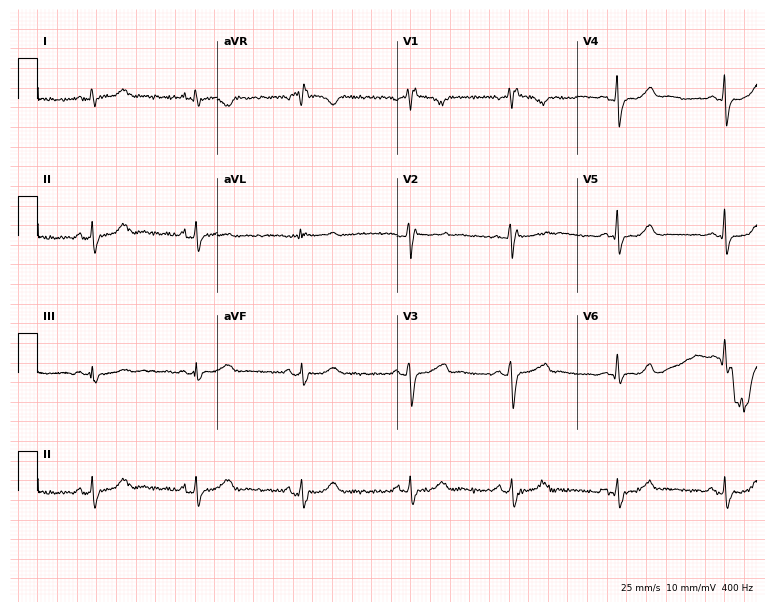
Standard 12-lead ECG recorded from a female patient, 42 years old. None of these six findings is recorded: first-degree AV block, right bundle branch block, left bundle branch block, sinus bradycardia, atrial fibrillation, sinus tachycardia. Findings outside these six are not listed.